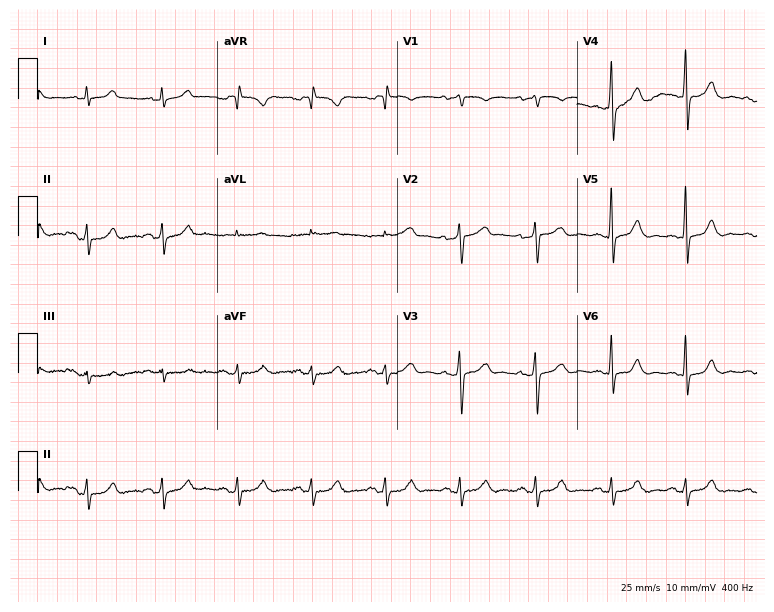
Resting 12-lead electrocardiogram. Patient: a male, 53 years old. Read as a normal ECG.